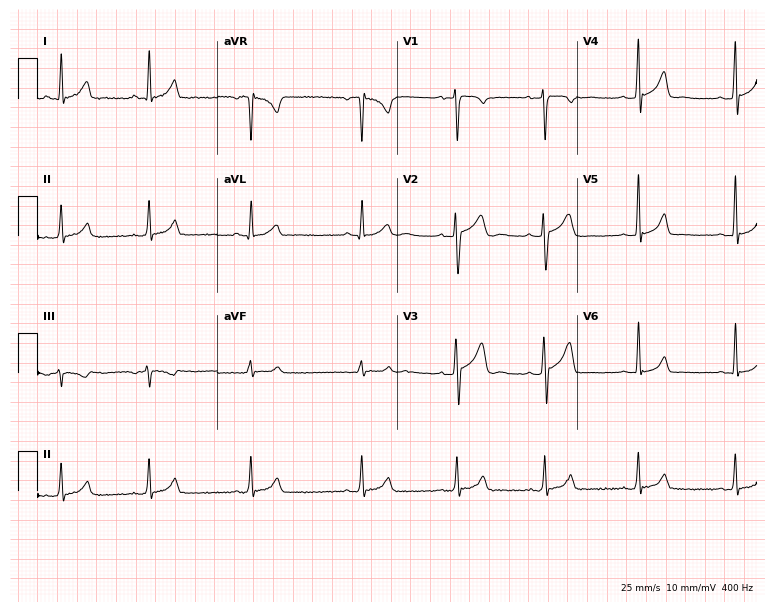
Standard 12-lead ECG recorded from a 17-year-old man (7.3-second recording at 400 Hz). None of these six findings is recorded: first-degree AV block, right bundle branch block (RBBB), left bundle branch block (LBBB), sinus bradycardia, atrial fibrillation (AF), sinus tachycardia. Other findings, if any, are not listed.